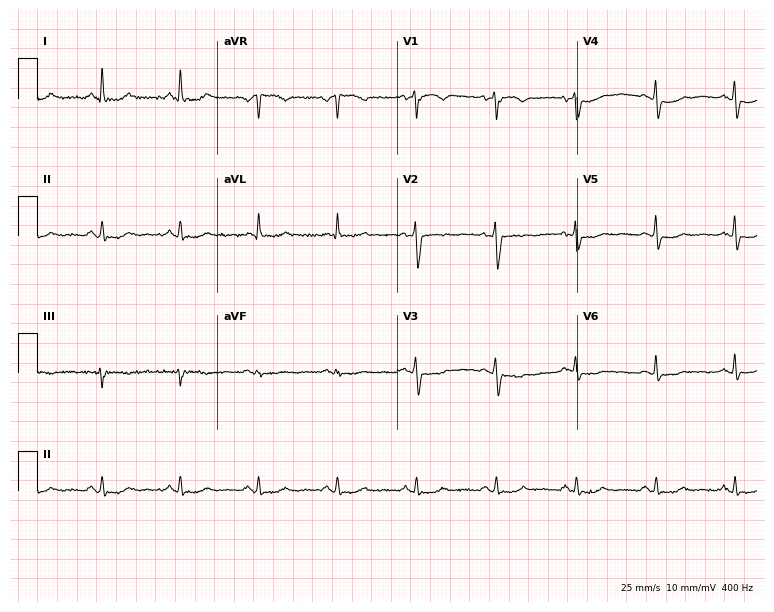
12-lead ECG from a 46-year-old woman. No first-degree AV block, right bundle branch block (RBBB), left bundle branch block (LBBB), sinus bradycardia, atrial fibrillation (AF) or sinus tachycardia recorded for this tracing.